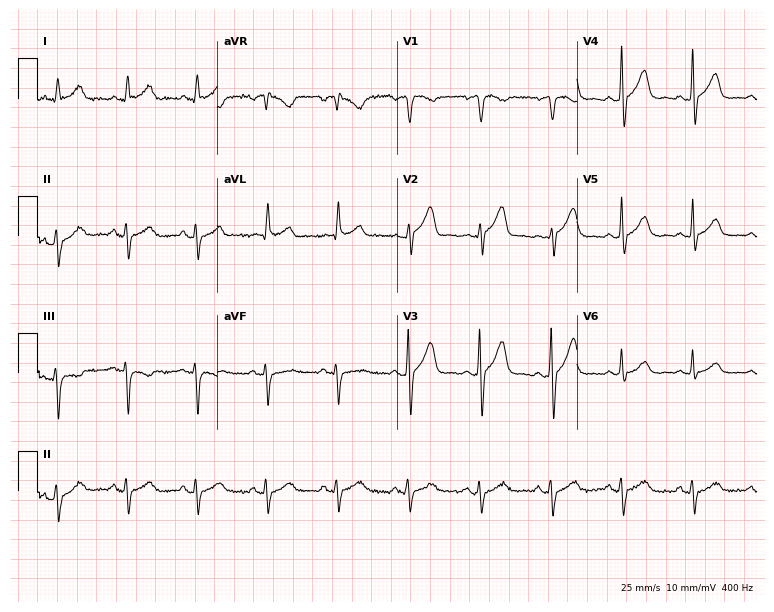
Resting 12-lead electrocardiogram (7.3-second recording at 400 Hz). Patient: a 72-year-old male. Read as a normal ECG.